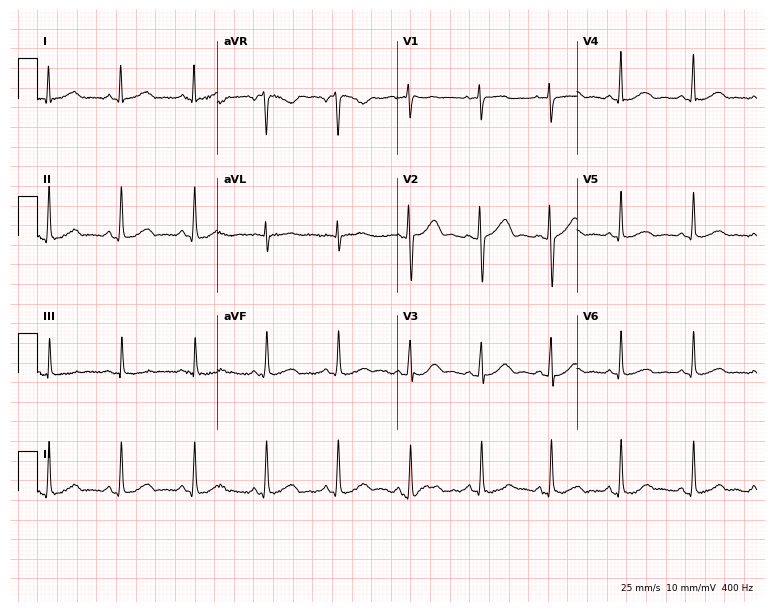
Standard 12-lead ECG recorded from a female, 37 years old (7.3-second recording at 400 Hz). Read as a normal ECG.